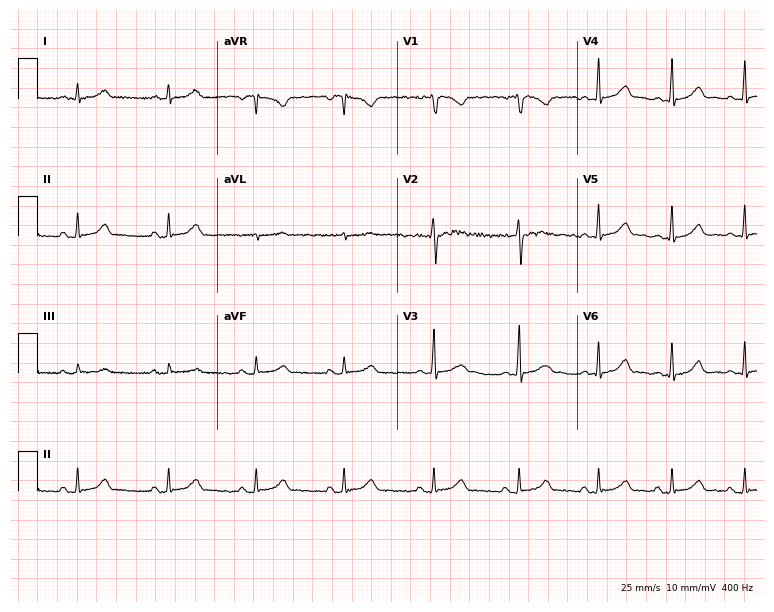
Standard 12-lead ECG recorded from a 31-year-old woman (7.3-second recording at 400 Hz). None of these six findings is recorded: first-degree AV block, right bundle branch block (RBBB), left bundle branch block (LBBB), sinus bradycardia, atrial fibrillation (AF), sinus tachycardia. Only these six findings were labelled.